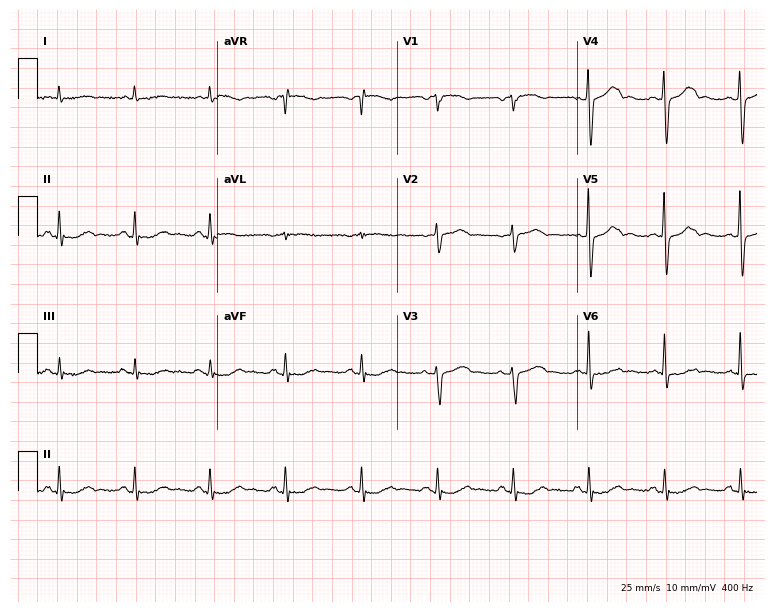
12-lead ECG from a 73-year-old female patient. Labelled as a normal ECG.